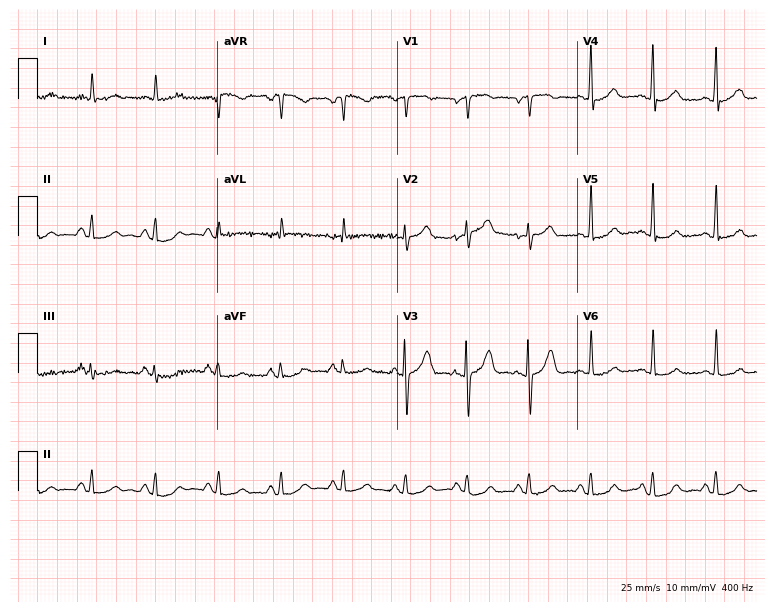
Electrocardiogram, a 69-year-old female. Overall reading on record: normal ECG.